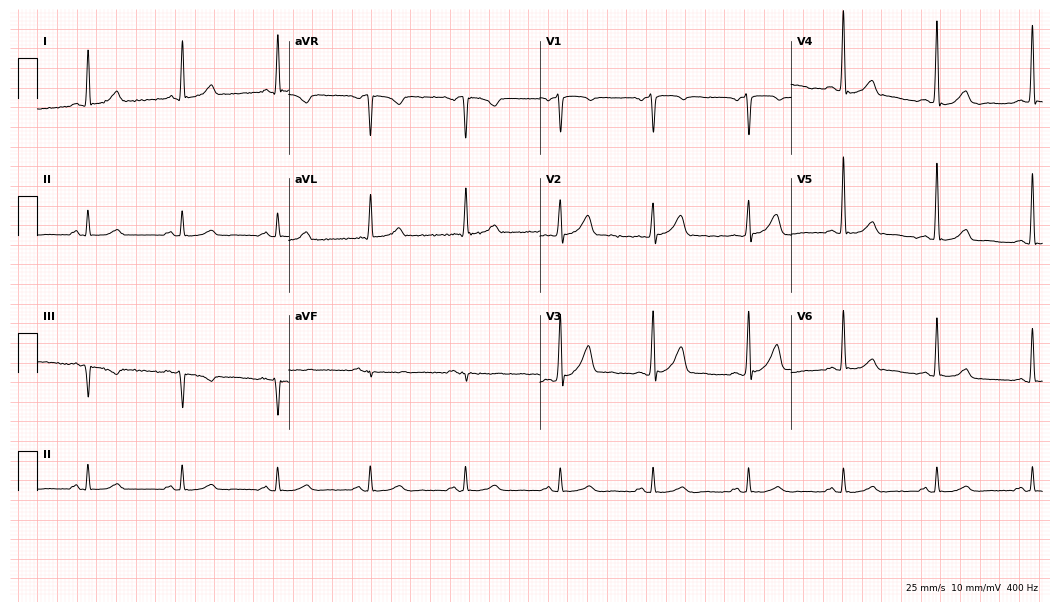
Standard 12-lead ECG recorded from a 52-year-old man. Read as a normal ECG.